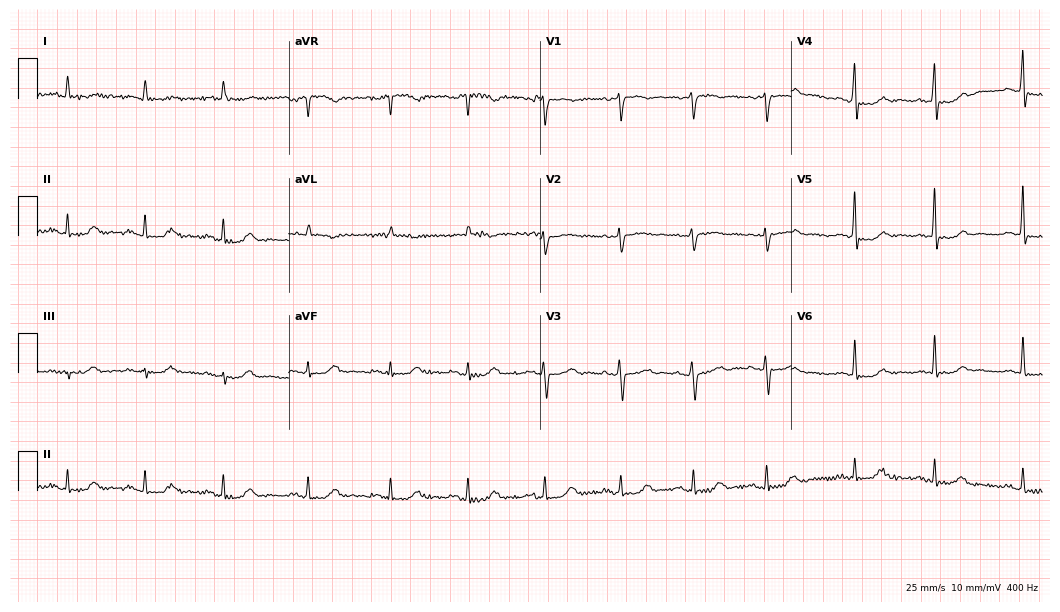
12-lead ECG from a woman, 71 years old. No first-degree AV block, right bundle branch block, left bundle branch block, sinus bradycardia, atrial fibrillation or sinus tachycardia recorded for this tracing. Only these six findings were labelled.